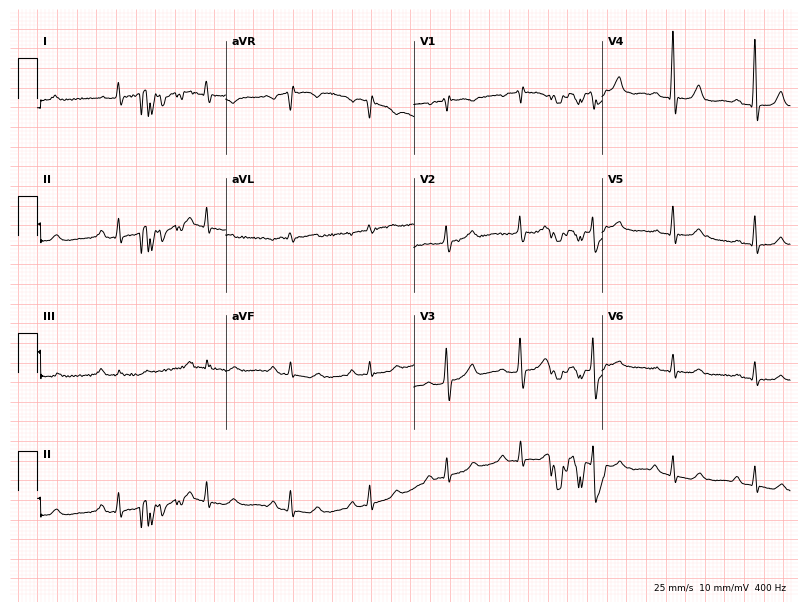
ECG (7.7-second recording at 400 Hz) — a 63-year-old female. Screened for six findings — first-degree AV block, right bundle branch block, left bundle branch block, sinus bradycardia, atrial fibrillation, sinus tachycardia — none is recorded. Other findings, if any, are not listed.